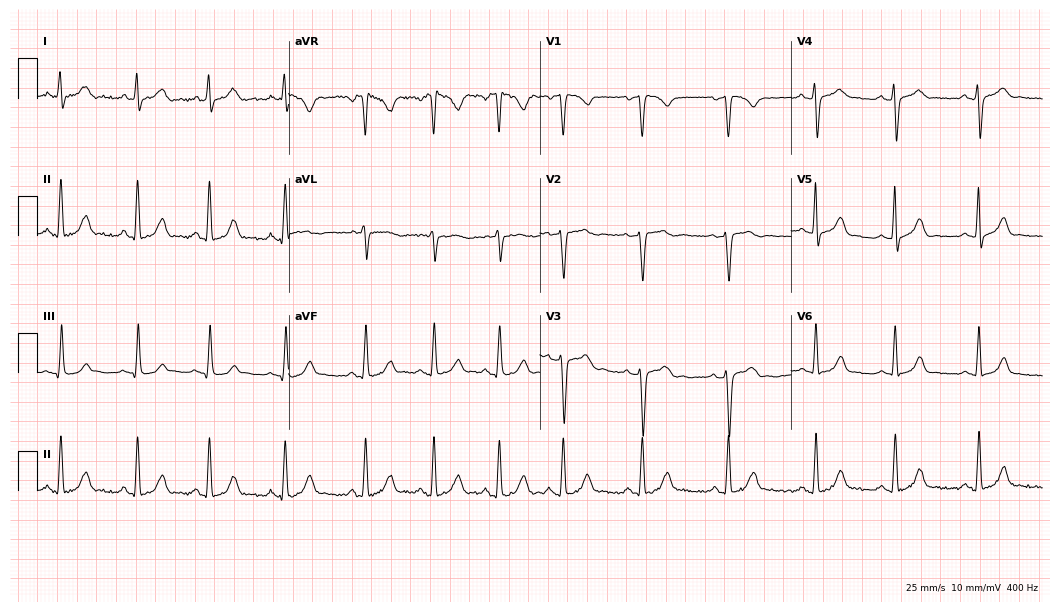
12-lead ECG from a 24-year-old female patient. No first-degree AV block, right bundle branch block (RBBB), left bundle branch block (LBBB), sinus bradycardia, atrial fibrillation (AF) or sinus tachycardia recorded for this tracing.